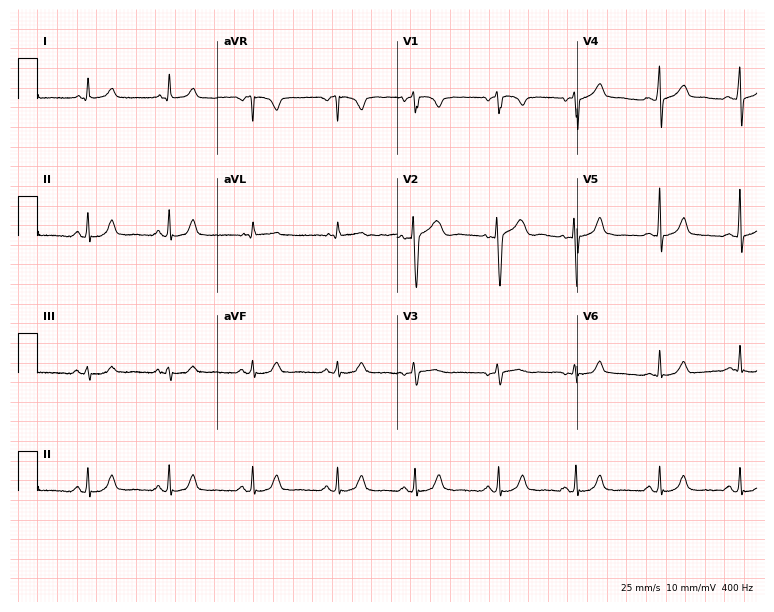
Electrocardiogram (7.3-second recording at 400 Hz), a 37-year-old female patient. Overall reading on record: normal ECG.